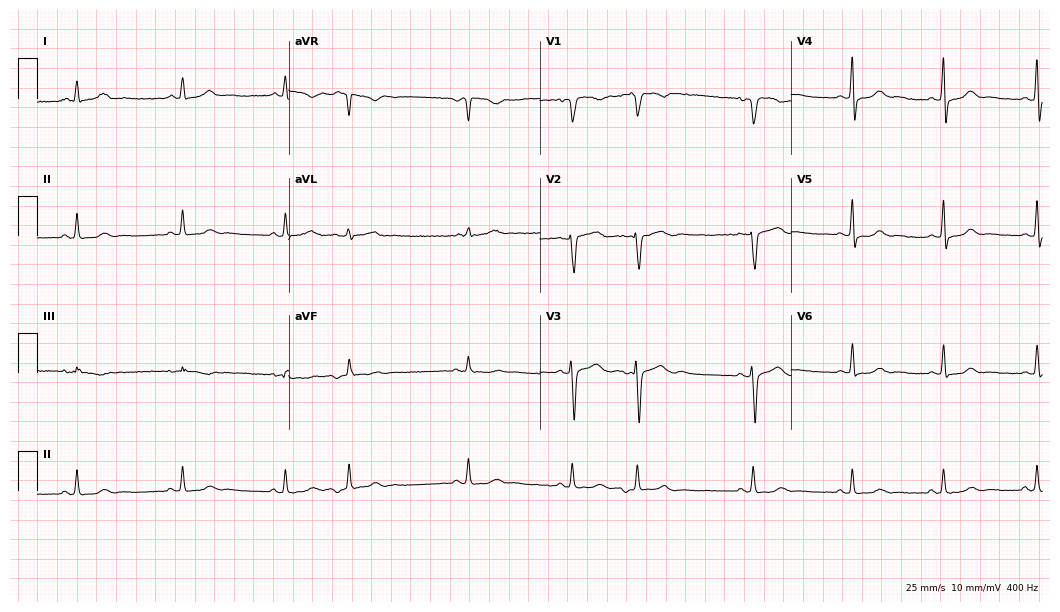
12-lead ECG (10.2-second recording at 400 Hz) from a woman, 32 years old. Screened for six findings — first-degree AV block, right bundle branch block, left bundle branch block, sinus bradycardia, atrial fibrillation, sinus tachycardia — none is recorded.